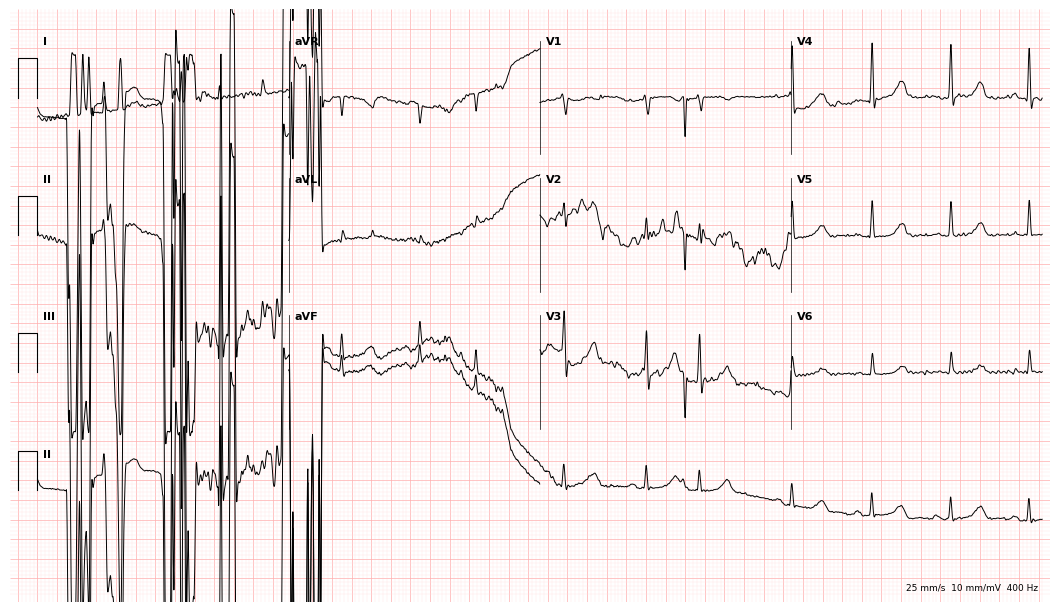
12-lead ECG from an 86-year-old woman (10.2-second recording at 400 Hz). No first-degree AV block, right bundle branch block, left bundle branch block, sinus bradycardia, atrial fibrillation or sinus tachycardia recorded for this tracing. Other findings, if any, are not listed.